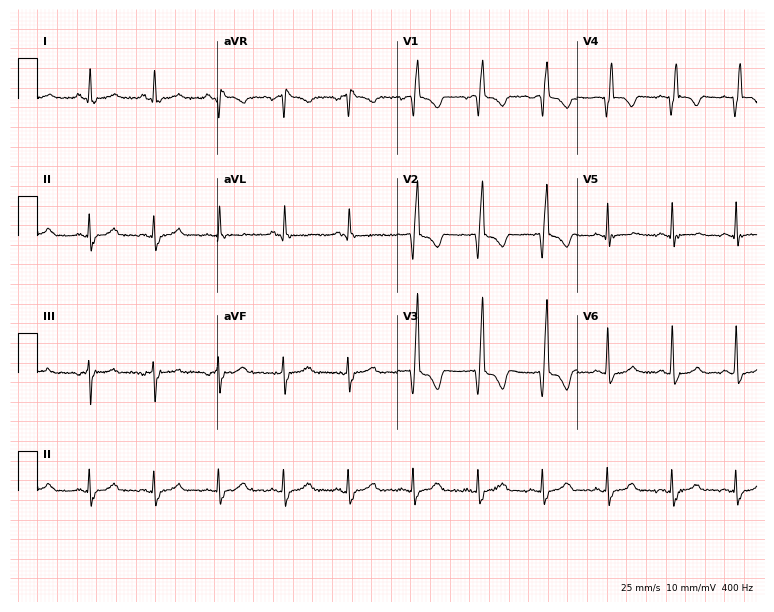
12-lead ECG (7.3-second recording at 400 Hz) from a 77-year-old woman. Screened for six findings — first-degree AV block, right bundle branch block, left bundle branch block, sinus bradycardia, atrial fibrillation, sinus tachycardia — none is recorded. Only these six findings were labelled.